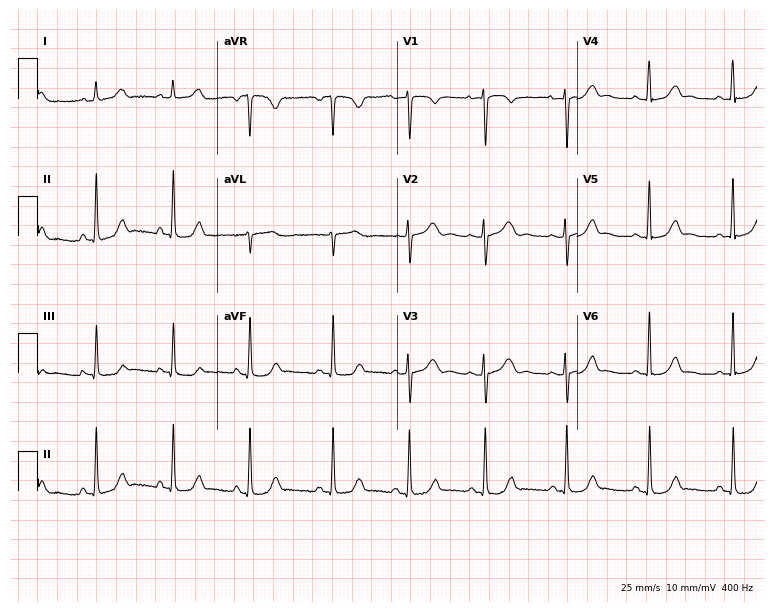
Resting 12-lead electrocardiogram. Patient: a woman, 23 years old. Read as a normal ECG.